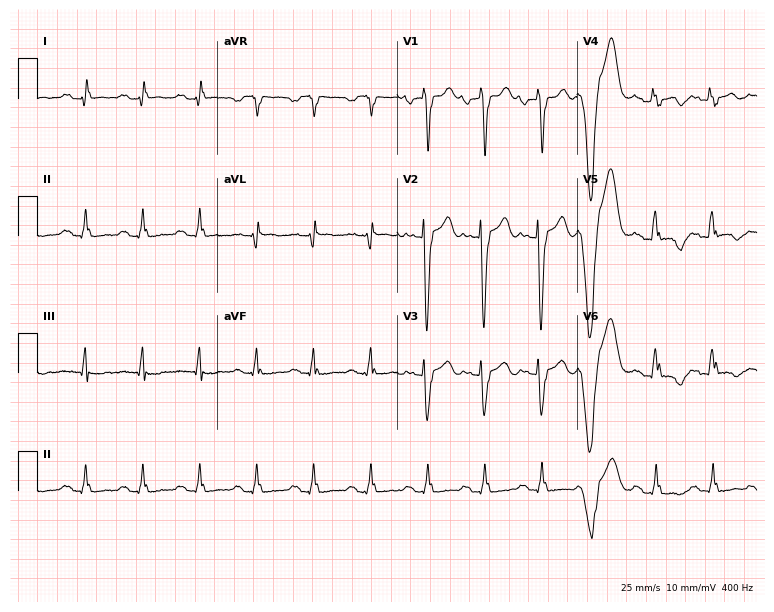
Resting 12-lead electrocardiogram. Patient: a 50-year-old man. The tracing shows sinus tachycardia (a sinus rate of 100 beats per minute or more).